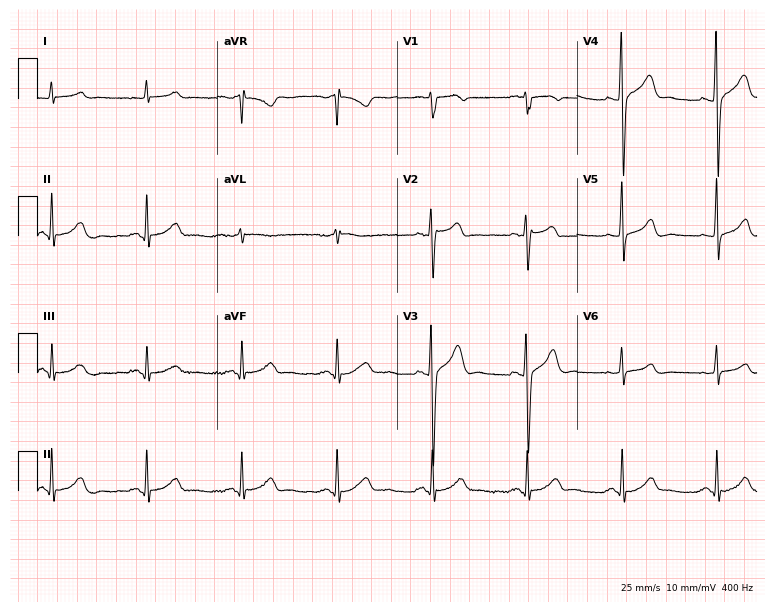
Electrocardiogram (7.3-second recording at 400 Hz), a 62-year-old female. Overall reading on record: normal ECG.